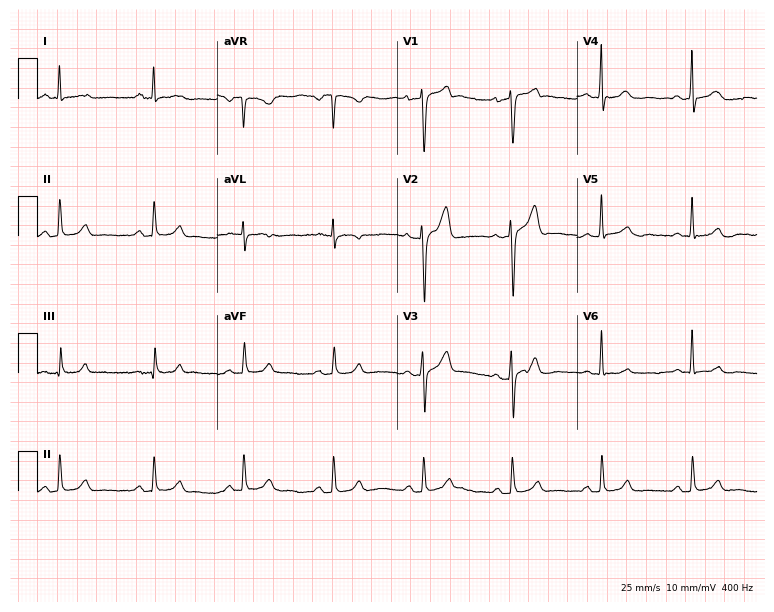
12-lead ECG from a 46-year-old male patient. Labelled as a normal ECG.